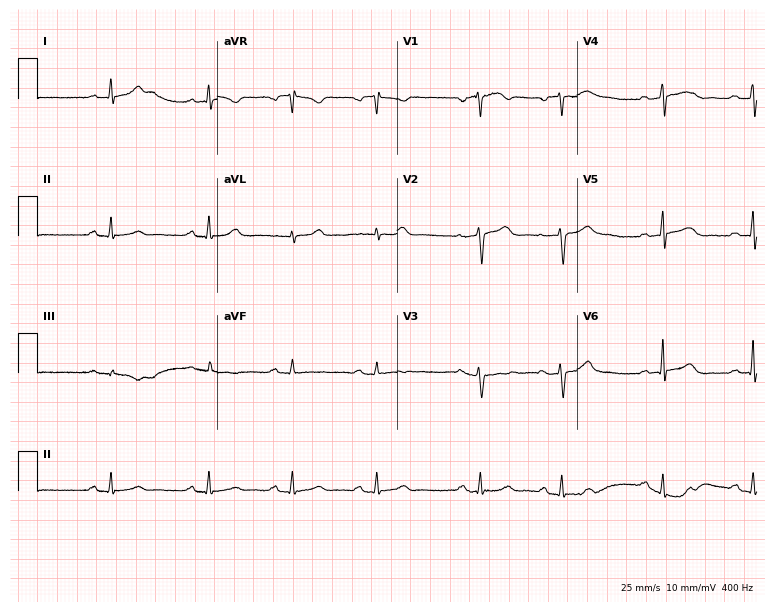
Electrocardiogram (7.3-second recording at 400 Hz), a 37-year-old female patient. Overall reading on record: normal ECG.